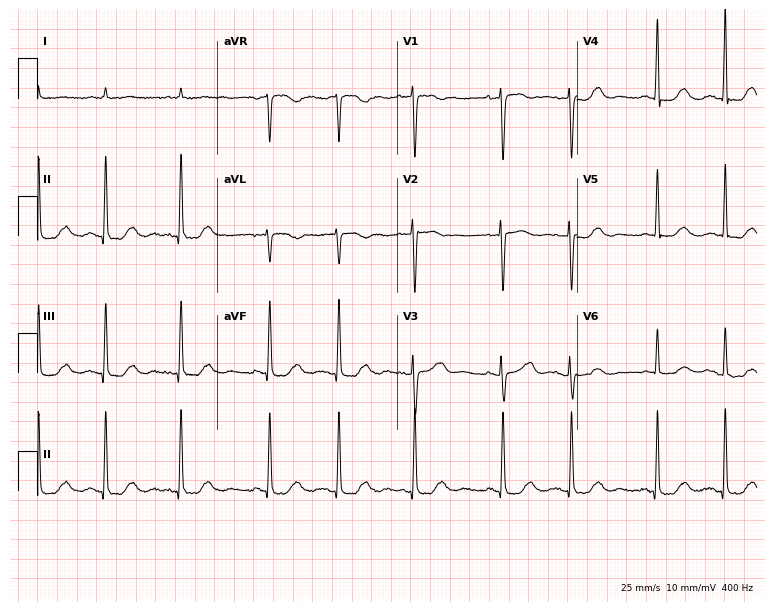
Electrocardiogram (7.3-second recording at 400 Hz), a 72-year-old woman. Of the six screened findings (first-degree AV block, right bundle branch block, left bundle branch block, sinus bradycardia, atrial fibrillation, sinus tachycardia), none is recorded. Only these six findings were labelled.